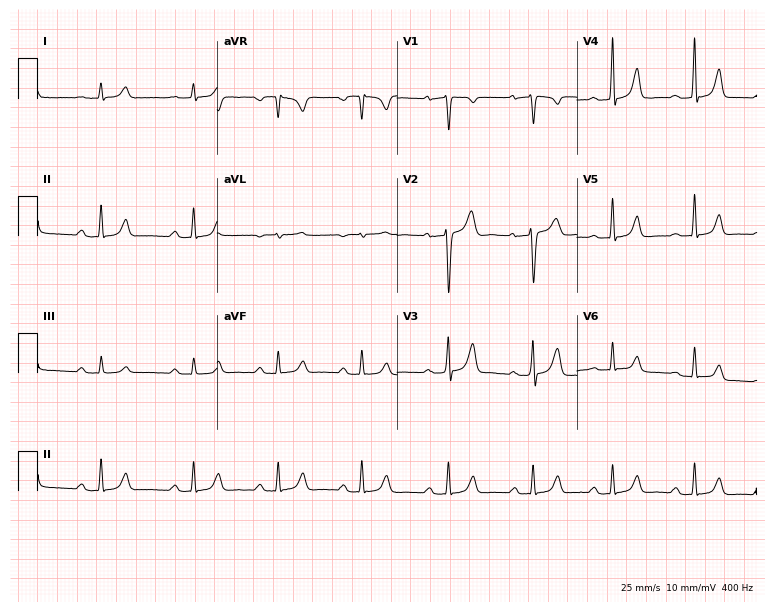
12-lead ECG from a female, 30 years old. Screened for six findings — first-degree AV block, right bundle branch block, left bundle branch block, sinus bradycardia, atrial fibrillation, sinus tachycardia — none is recorded.